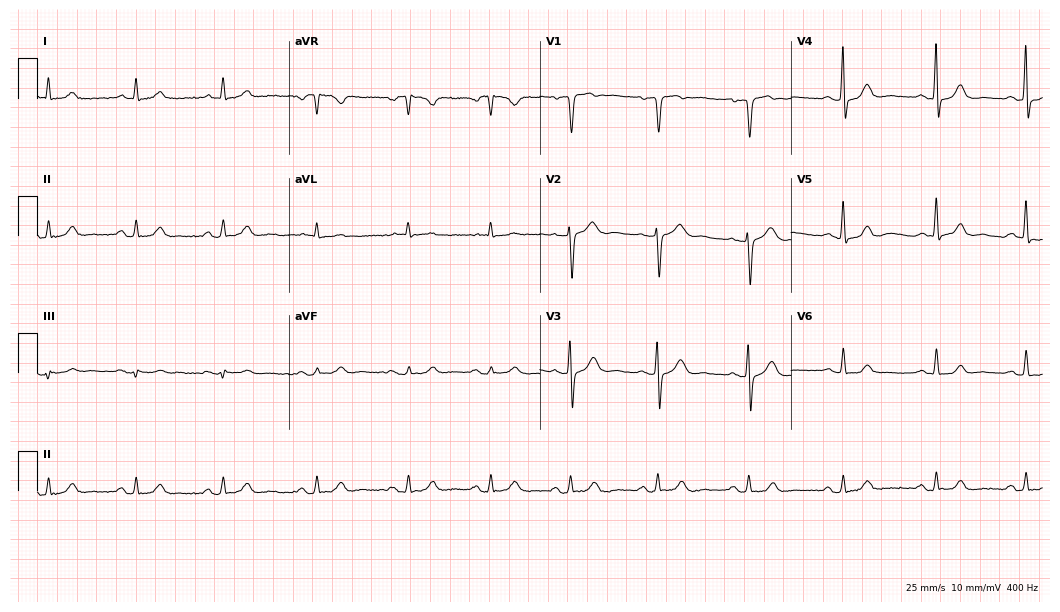
12-lead ECG from a man, 67 years old (10.2-second recording at 400 Hz). Recorded interpretation: within normal limits.